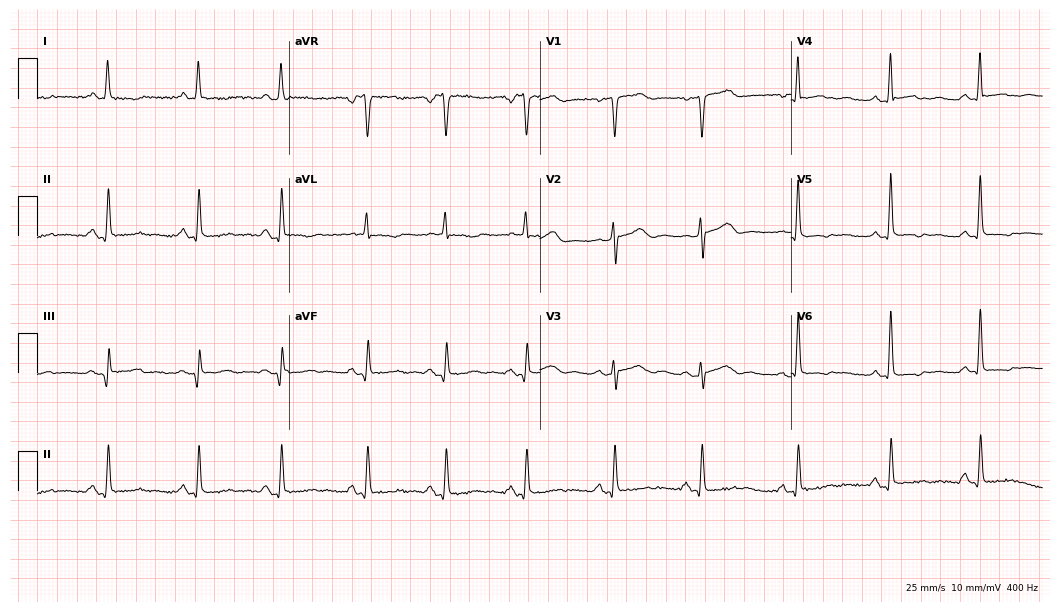
12-lead ECG from a 70-year-old female (10.2-second recording at 400 Hz). Recorded interpretation: within normal limits.